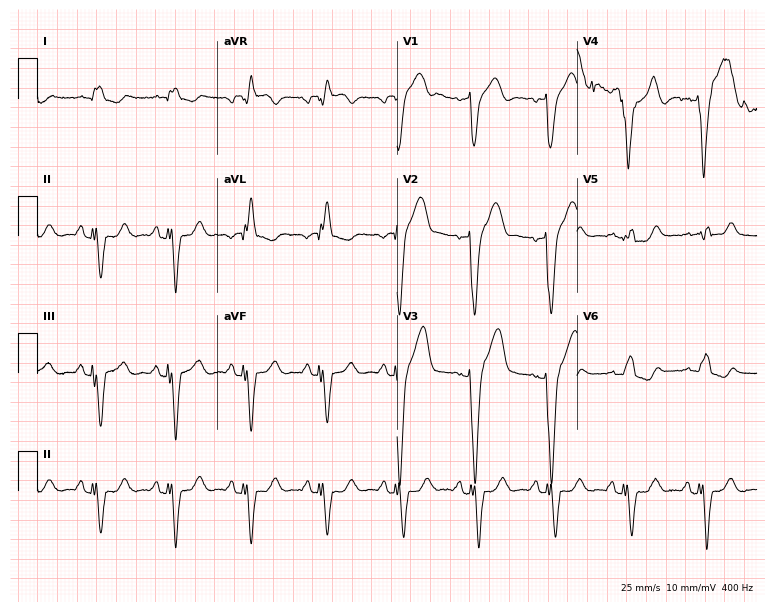
12-lead ECG from a 69-year-old male. Shows left bundle branch block.